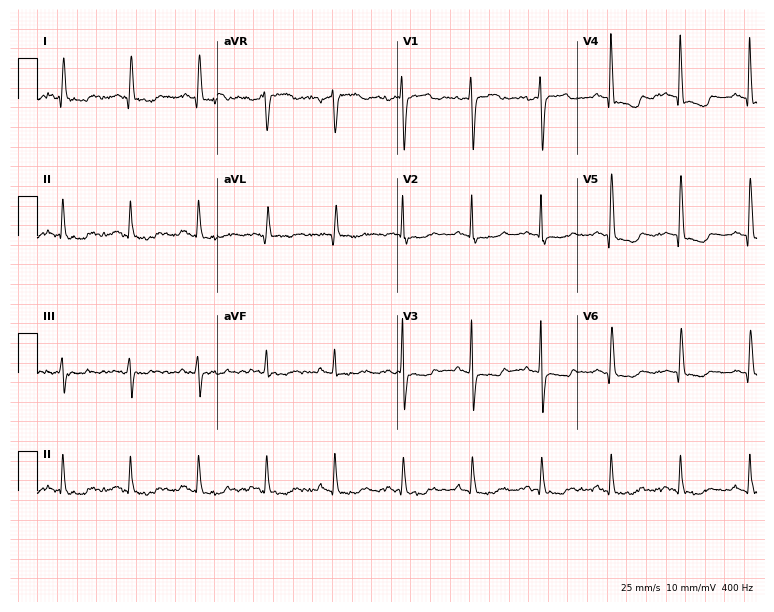
12-lead ECG from a female, 76 years old. Screened for six findings — first-degree AV block, right bundle branch block (RBBB), left bundle branch block (LBBB), sinus bradycardia, atrial fibrillation (AF), sinus tachycardia — none is recorded. Only these six findings were labelled.